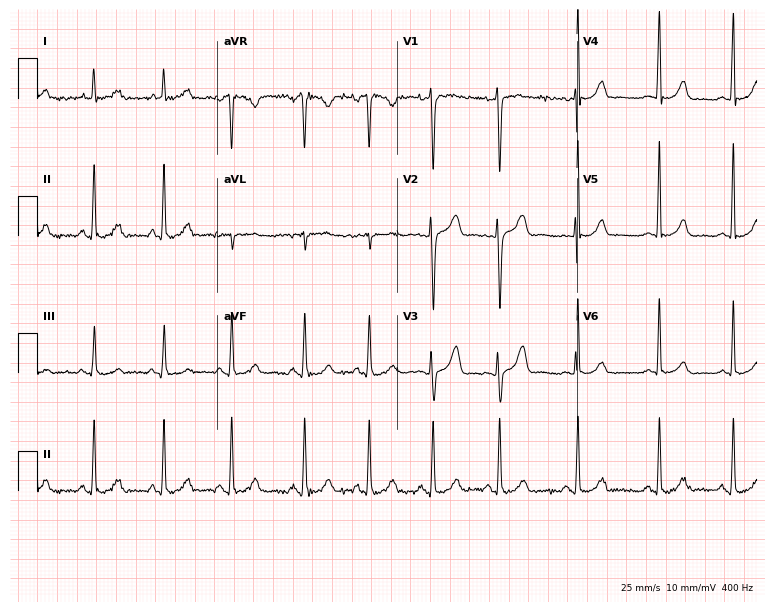
Standard 12-lead ECG recorded from a female patient, 29 years old. Read as a normal ECG.